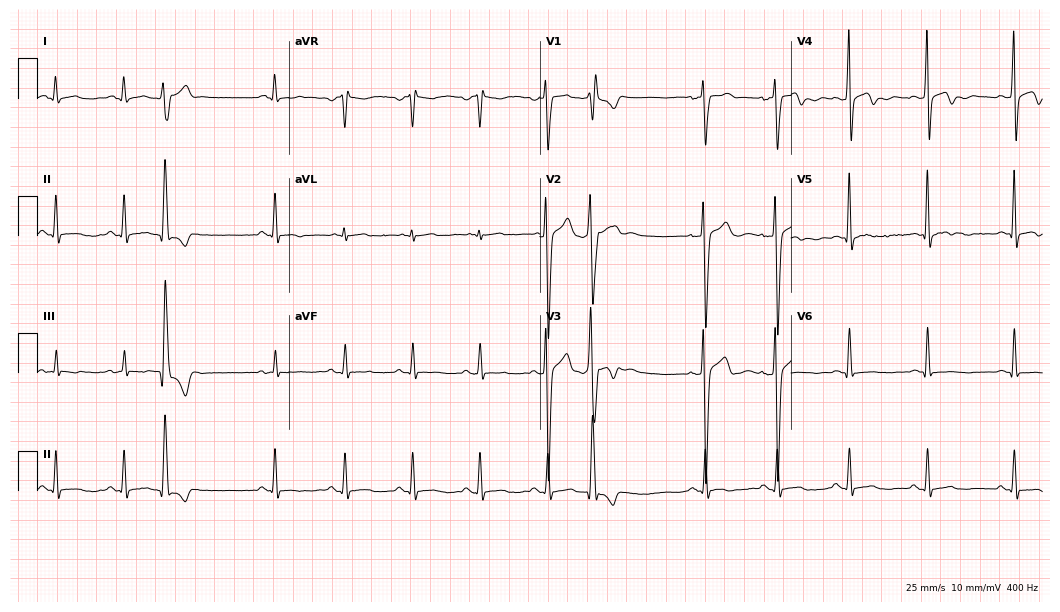
Standard 12-lead ECG recorded from a 21-year-old man. Read as a normal ECG.